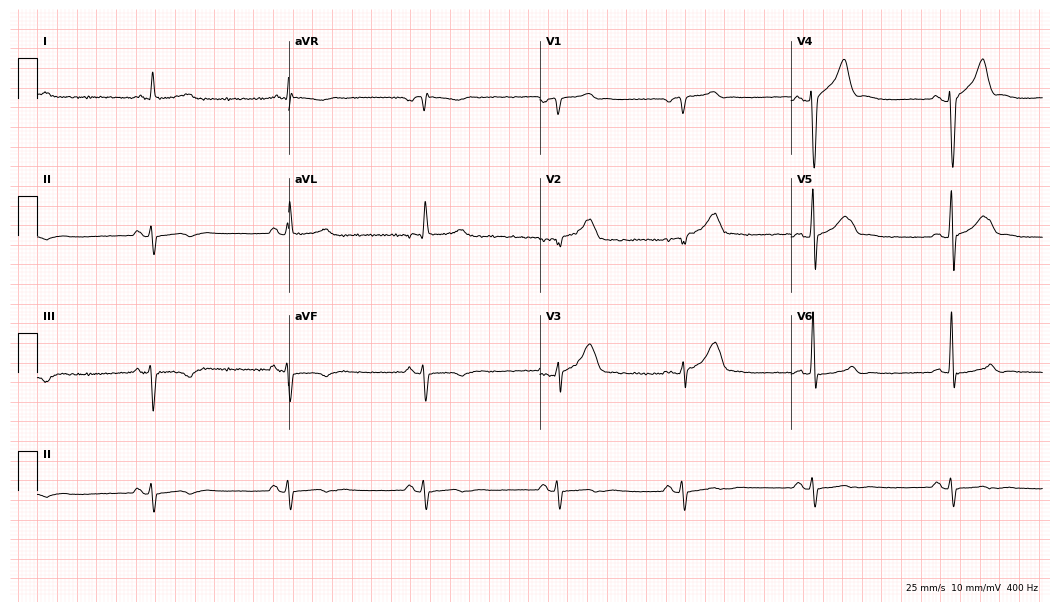
Standard 12-lead ECG recorded from a 63-year-old man (10.2-second recording at 400 Hz). The tracing shows sinus bradycardia (a sinus rate of 50 beats per minute or less).